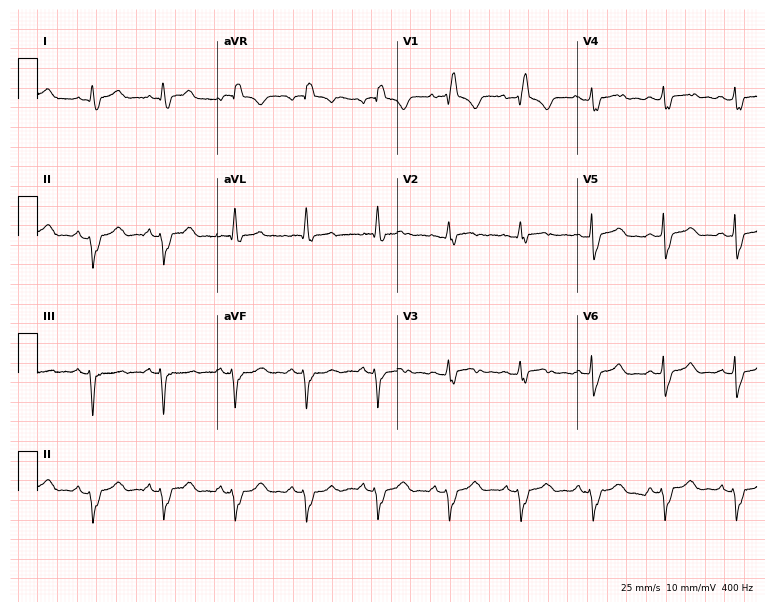
ECG (7.3-second recording at 400 Hz) — a female patient, 45 years old. Findings include right bundle branch block.